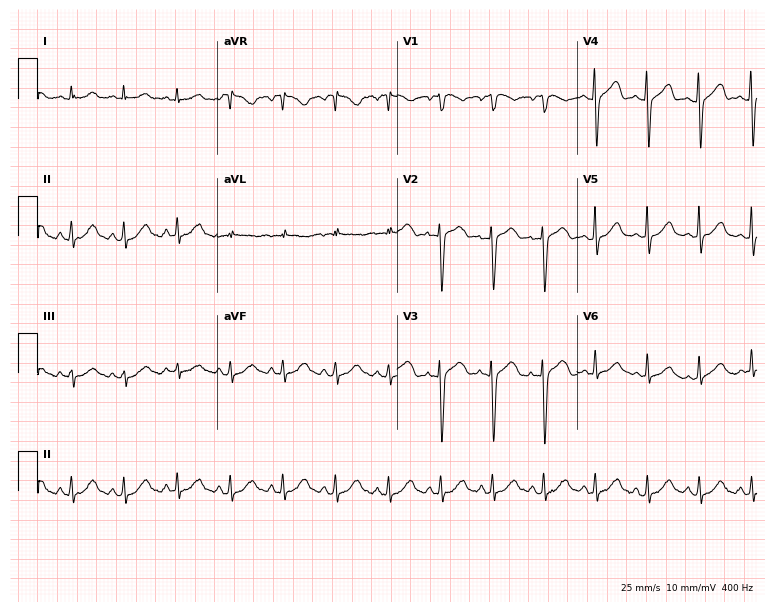
Resting 12-lead electrocardiogram. Patient: a 51-year-old female. None of these six findings is recorded: first-degree AV block, right bundle branch block (RBBB), left bundle branch block (LBBB), sinus bradycardia, atrial fibrillation (AF), sinus tachycardia. Other findings, if any, are not listed.